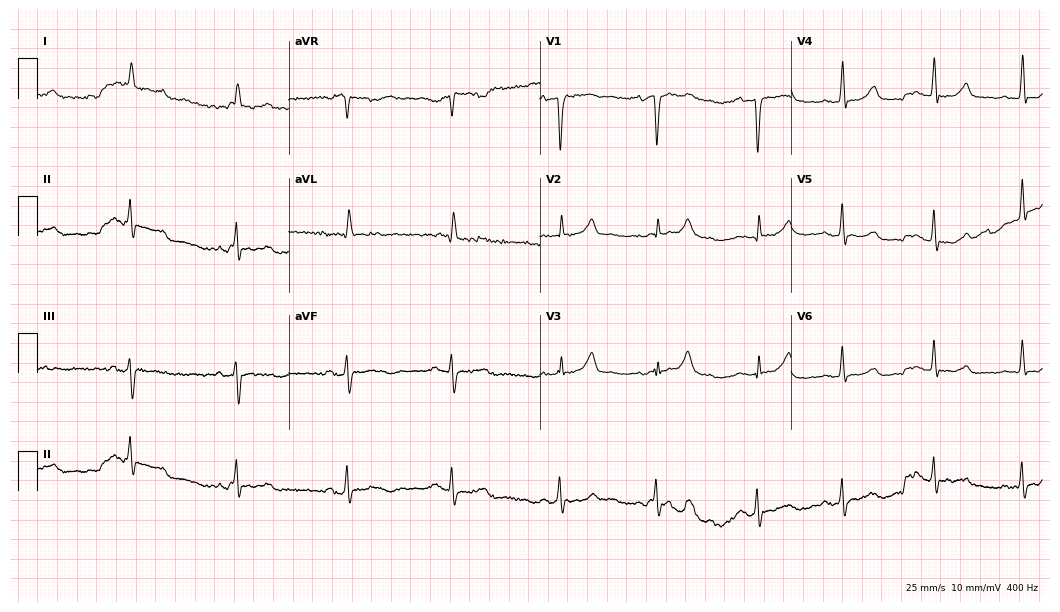
Standard 12-lead ECG recorded from an 81-year-old woman (10.2-second recording at 400 Hz). None of these six findings is recorded: first-degree AV block, right bundle branch block (RBBB), left bundle branch block (LBBB), sinus bradycardia, atrial fibrillation (AF), sinus tachycardia. Only these six findings were labelled.